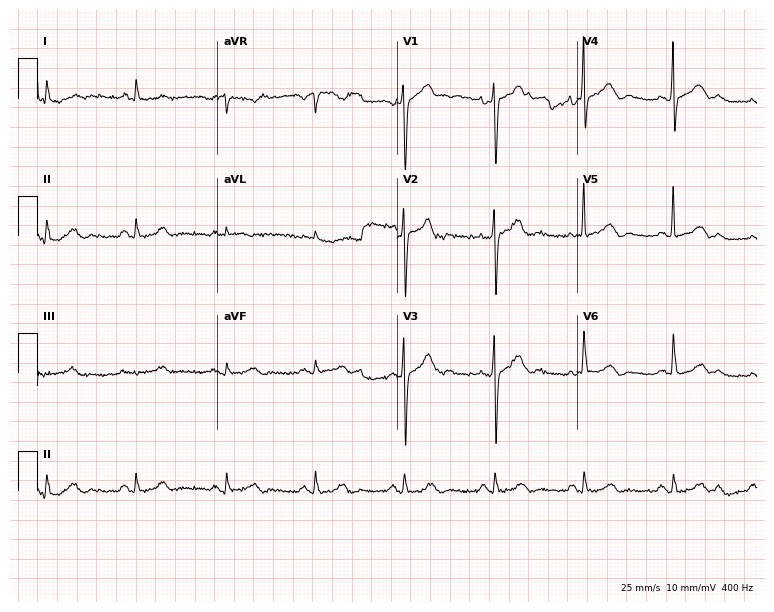
Standard 12-lead ECG recorded from a 57-year-old male. Read as a normal ECG.